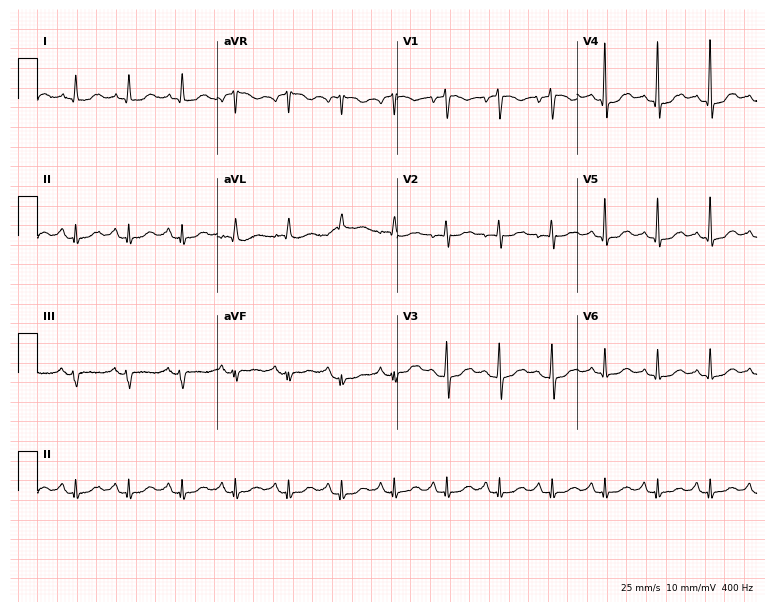
Standard 12-lead ECG recorded from a female patient, 67 years old (7.3-second recording at 400 Hz). The tracing shows sinus tachycardia (a sinus rate of 100 beats per minute or more).